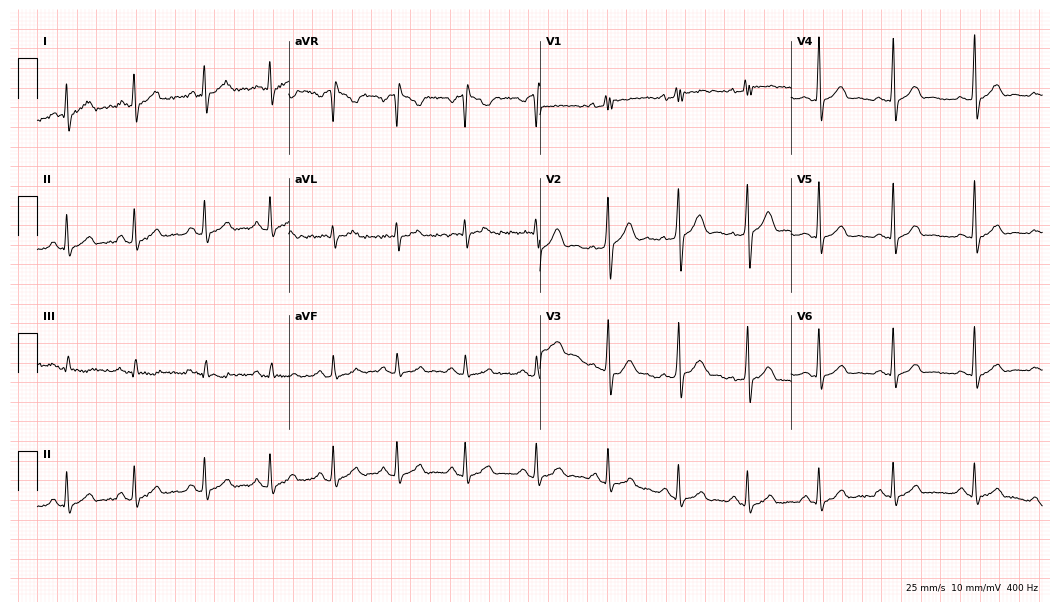
12-lead ECG from a man, 35 years old. Recorded interpretation: within normal limits.